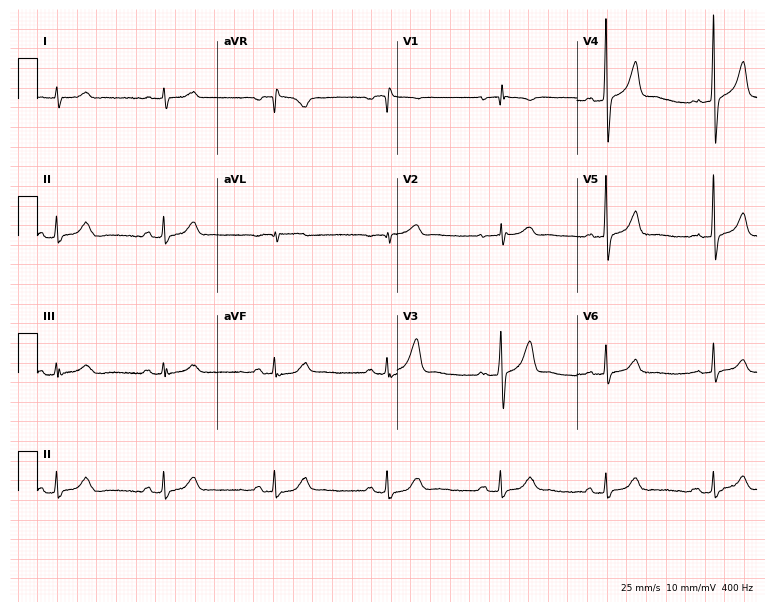
12-lead ECG from a 75-year-old male patient. No first-degree AV block, right bundle branch block (RBBB), left bundle branch block (LBBB), sinus bradycardia, atrial fibrillation (AF) or sinus tachycardia recorded for this tracing.